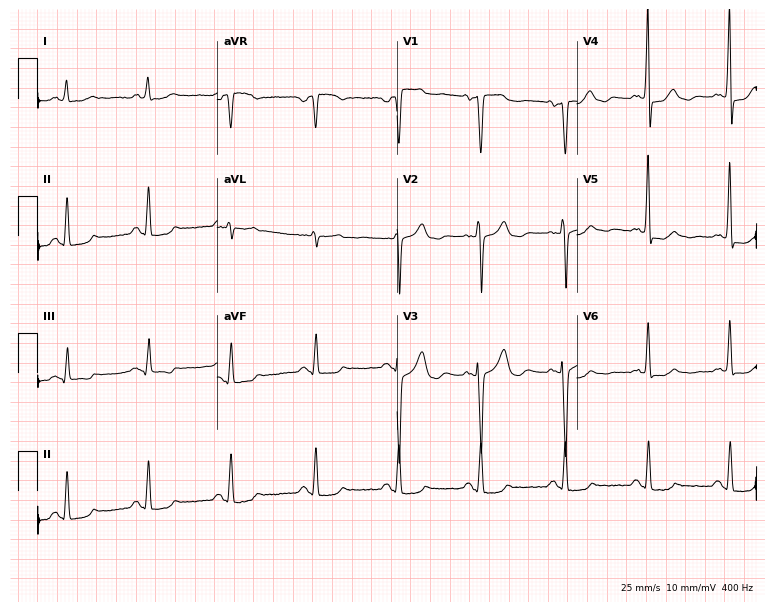
12-lead ECG from a 62-year-old male. No first-degree AV block, right bundle branch block (RBBB), left bundle branch block (LBBB), sinus bradycardia, atrial fibrillation (AF) or sinus tachycardia recorded for this tracing.